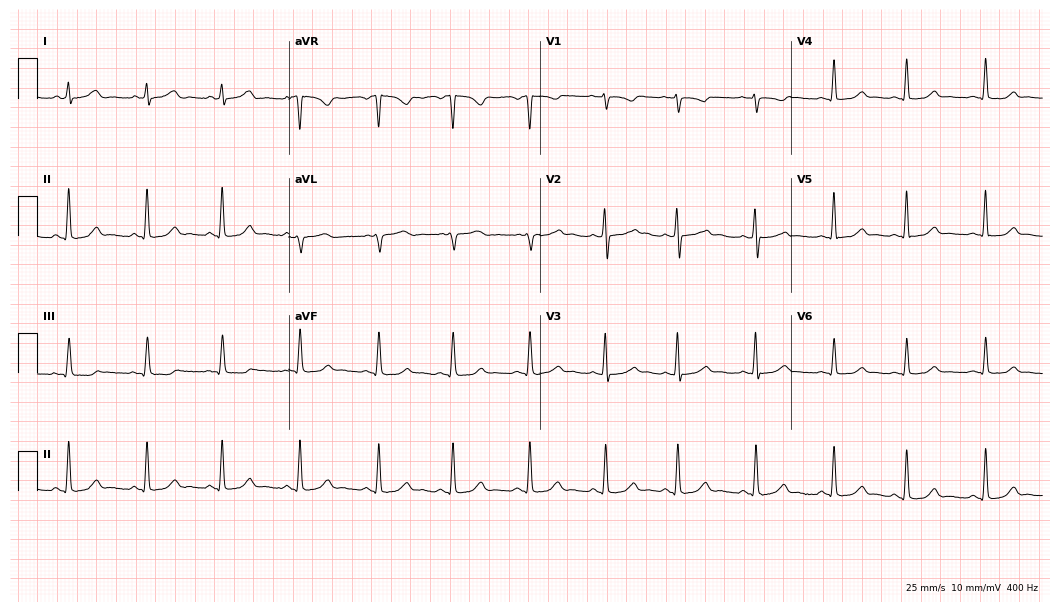
12-lead ECG from a female patient, 25 years old (10.2-second recording at 400 Hz). No first-degree AV block, right bundle branch block, left bundle branch block, sinus bradycardia, atrial fibrillation or sinus tachycardia recorded for this tracing.